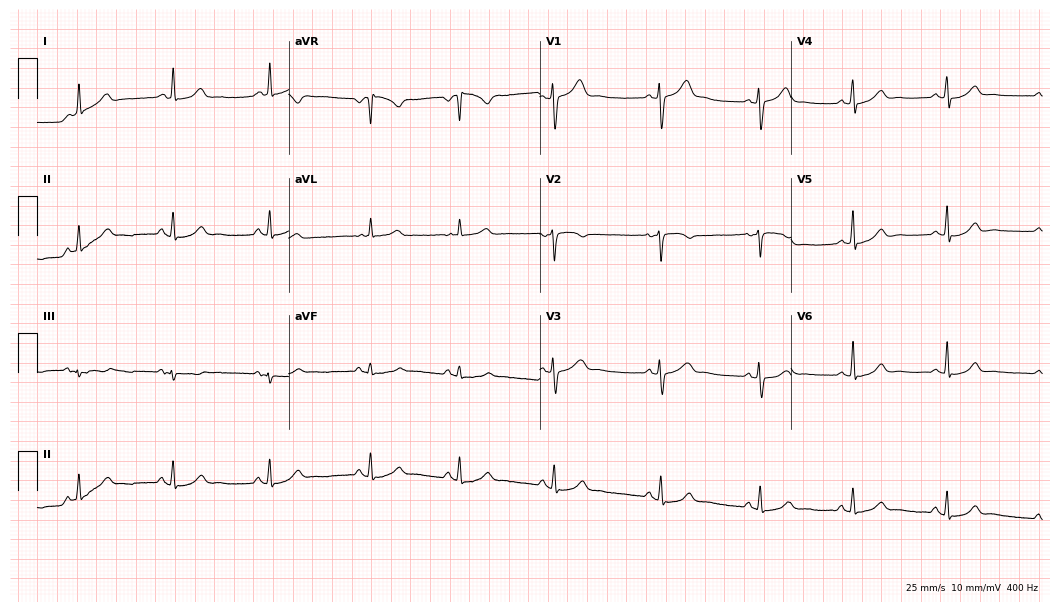
12-lead ECG from a 48-year-old woman (10.2-second recording at 400 Hz). Recorded interpretation: within normal limits.